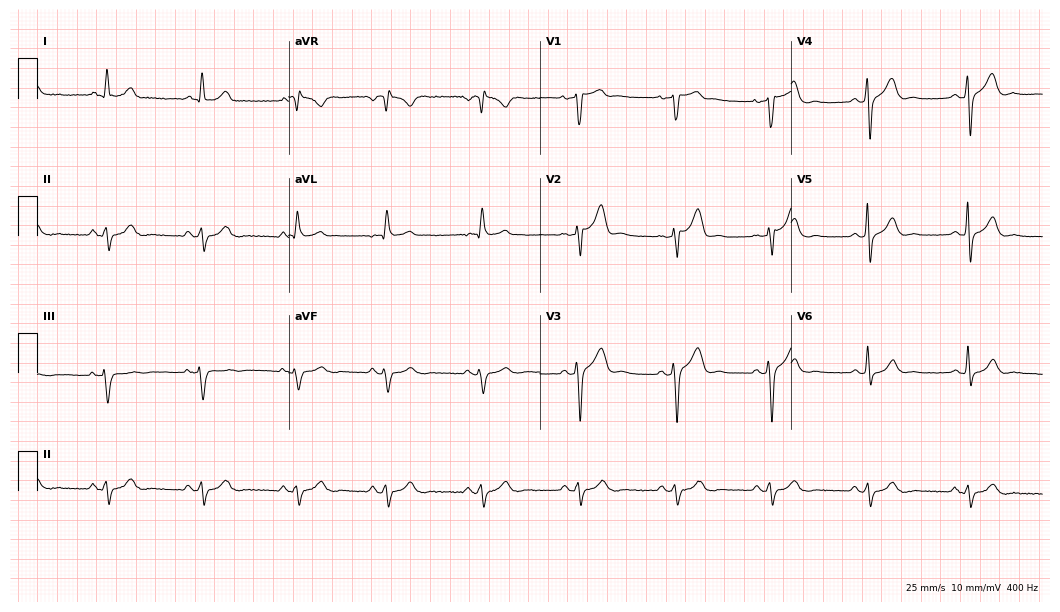
Resting 12-lead electrocardiogram. Patient: a 55-year-old man. None of these six findings is recorded: first-degree AV block, right bundle branch block (RBBB), left bundle branch block (LBBB), sinus bradycardia, atrial fibrillation (AF), sinus tachycardia. Other findings, if any, are not listed.